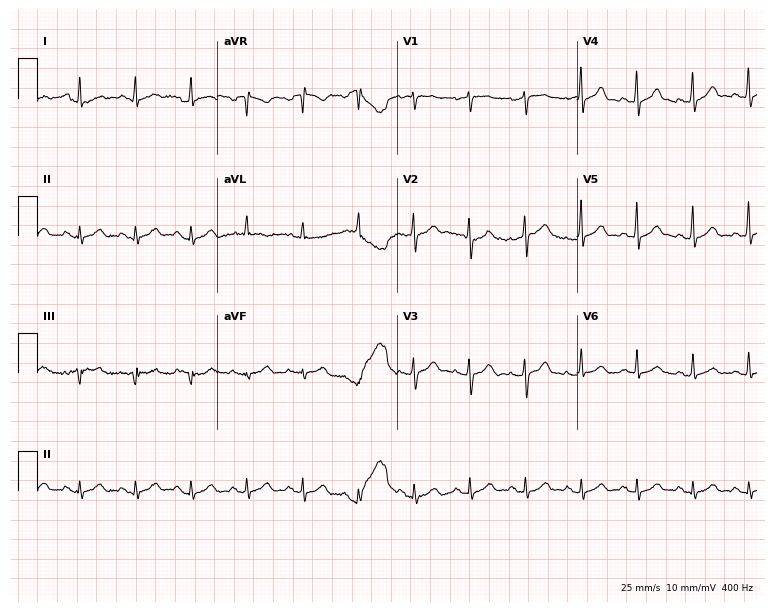
ECG (7.3-second recording at 400 Hz) — a 61-year-old female. Findings include sinus tachycardia (a sinus rate of 100 beats per minute or more).